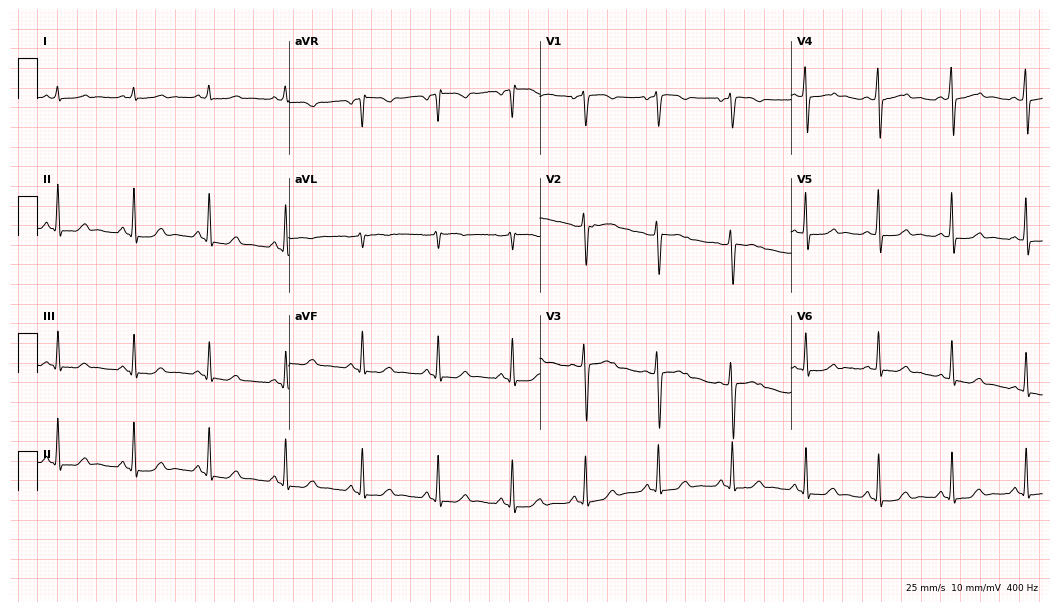
12-lead ECG from a 49-year-old woman. Labelled as a normal ECG.